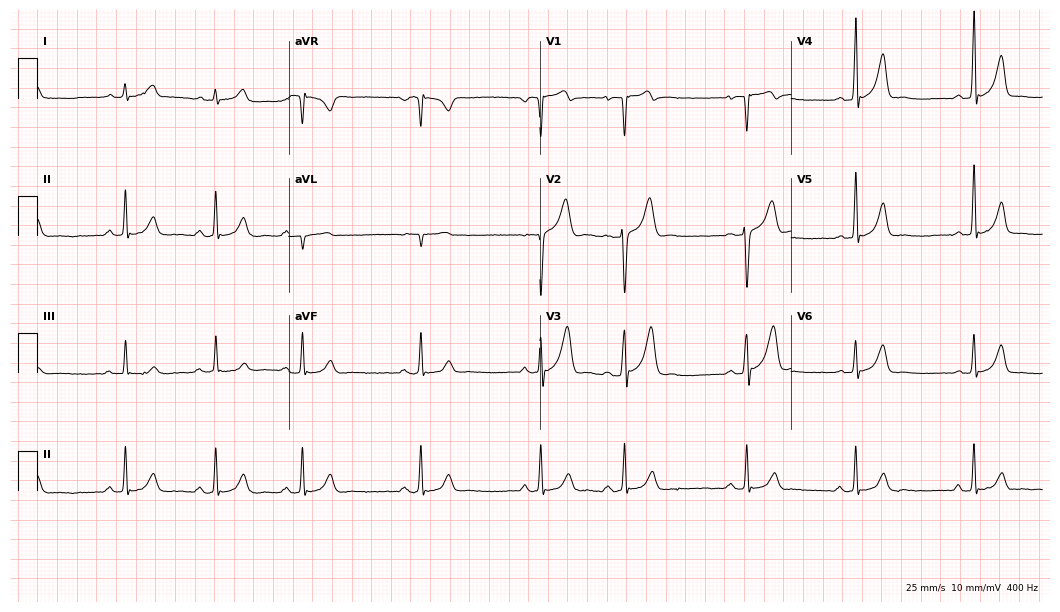
Standard 12-lead ECG recorded from a male patient, 23 years old. Read as a normal ECG.